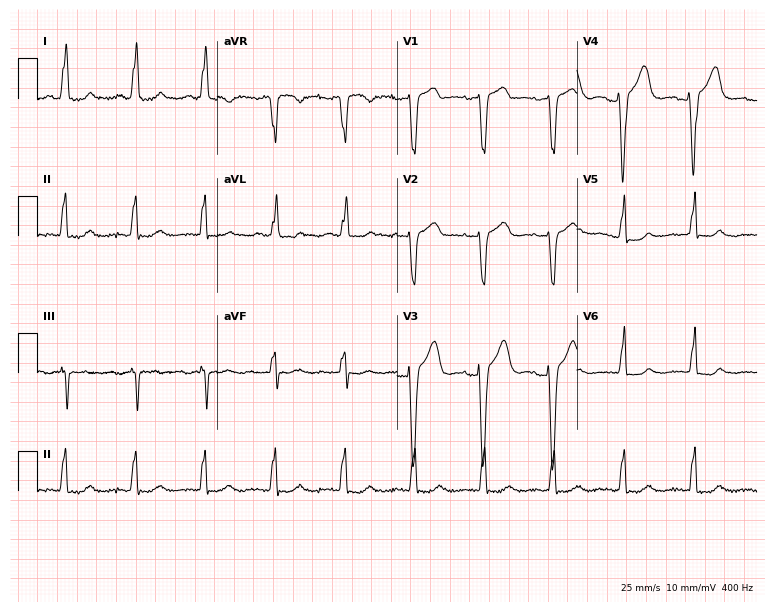
12-lead ECG from a female, 78 years old. No first-degree AV block, right bundle branch block (RBBB), left bundle branch block (LBBB), sinus bradycardia, atrial fibrillation (AF) or sinus tachycardia recorded for this tracing. Findings outside these six are not listed.